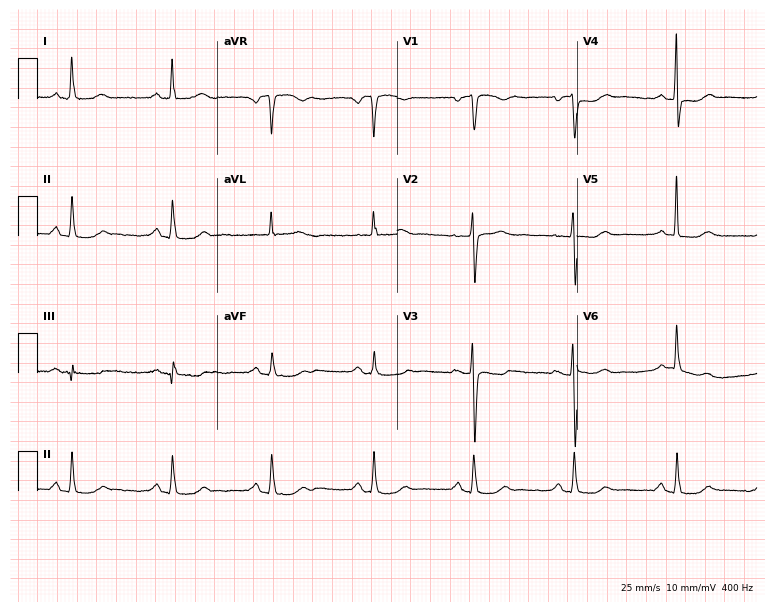
Standard 12-lead ECG recorded from a 72-year-old female (7.3-second recording at 400 Hz). None of these six findings is recorded: first-degree AV block, right bundle branch block, left bundle branch block, sinus bradycardia, atrial fibrillation, sinus tachycardia. Findings outside these six are not listed.